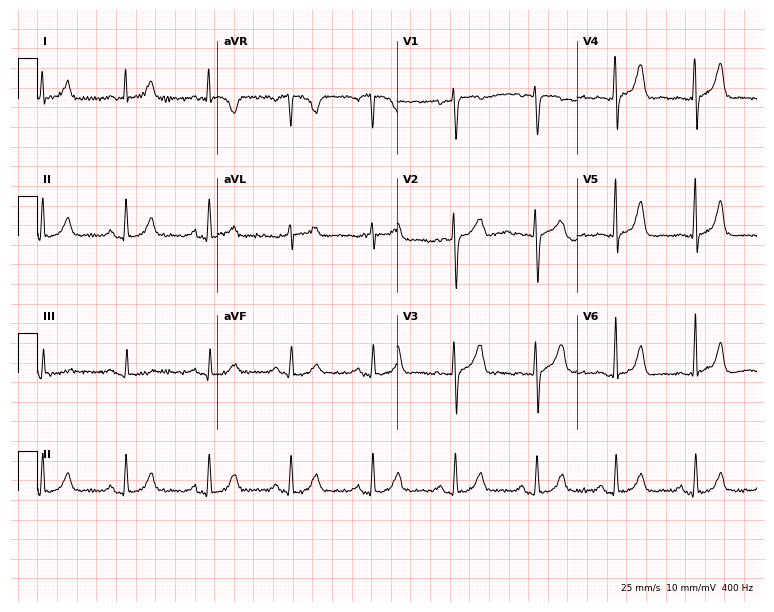
Electrocardiogram, a female, 59 years old. Overall reading on record: normal ECG.